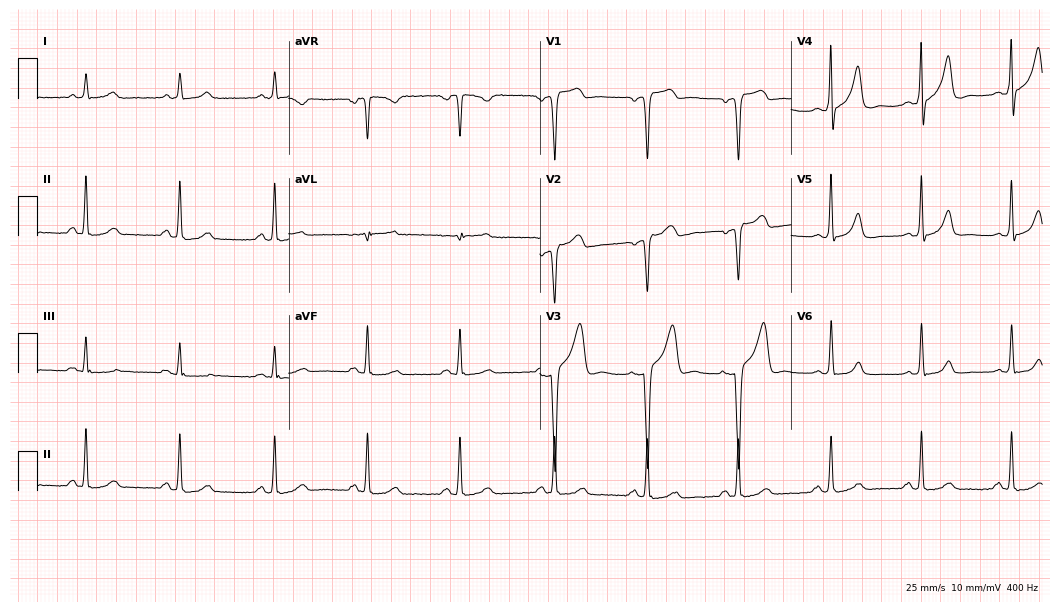
12-lead ECG (10.2-second recording at 400 Hz) from a 52-year-old man. Screened for six findings — first-degree AV block, right bundle branch block (RBBB), left bundle branch block (LBBB), sinus bradycardia, atrial fibrillation (AF), sinus tachycardia — none is recorded. Only these six findings were labelled.